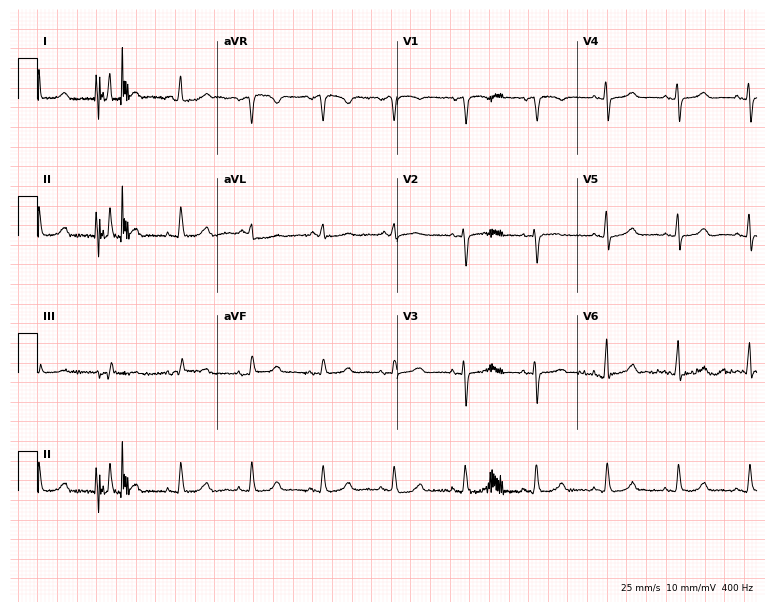
Resting 12-lead electrocardiogram. Patient: a woman, 84 years old. Read as a normal ECG.